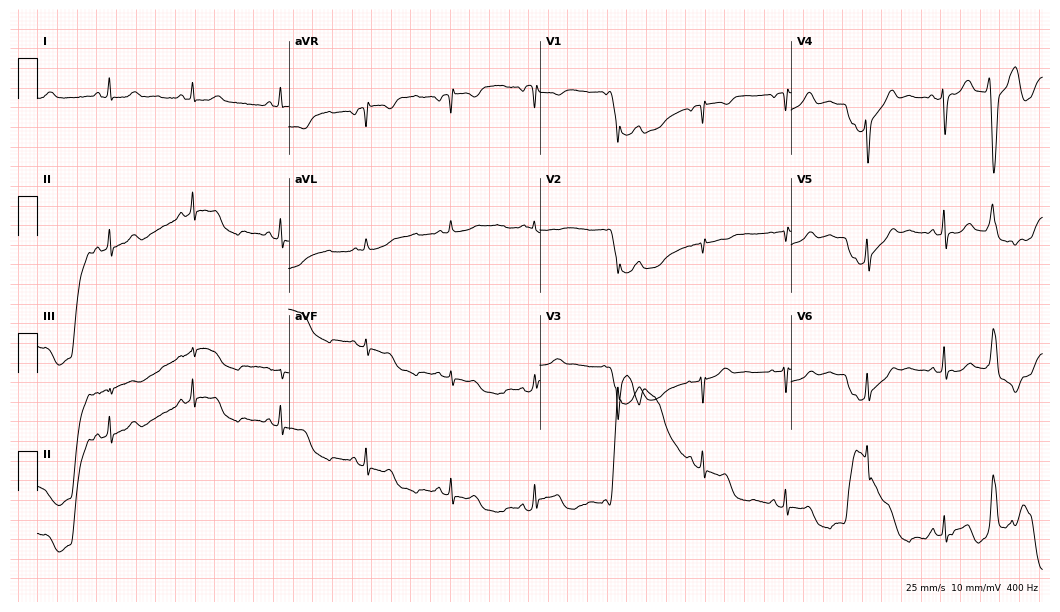
Electrocardiogram (10.2-second recording at 400 Hz), a 62-year-old female patient. Overall reading on record: normal ECG.